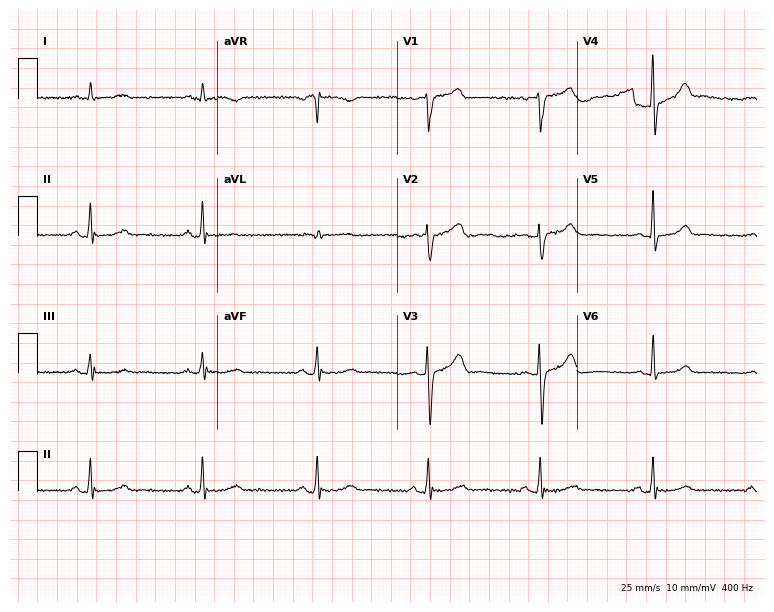
Standard 12-lead ECG recorded from a male, 38 years old (7.3-second recording at 400 Hz). Read as a normal ECG.